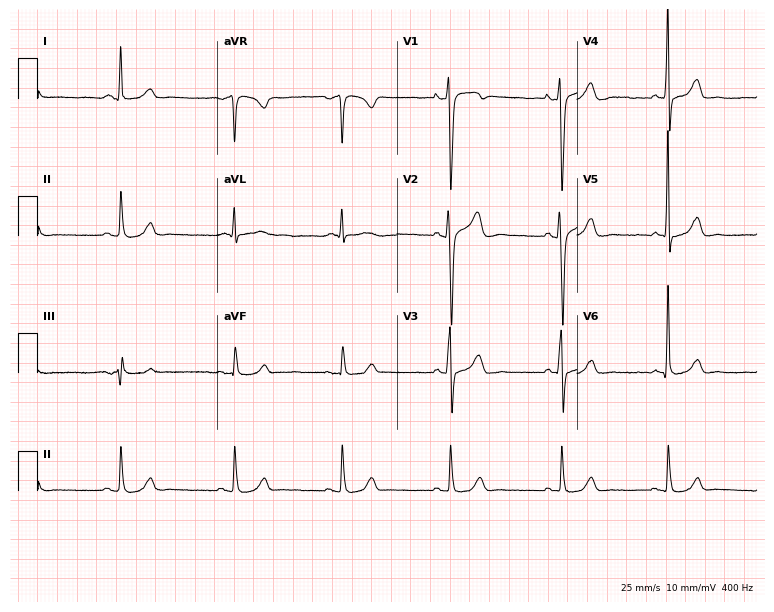
Standard 12-lead ECG recorded from a 42-year-old male patient (7.3-second recording at 400 Hz). Read as a normal ECG.